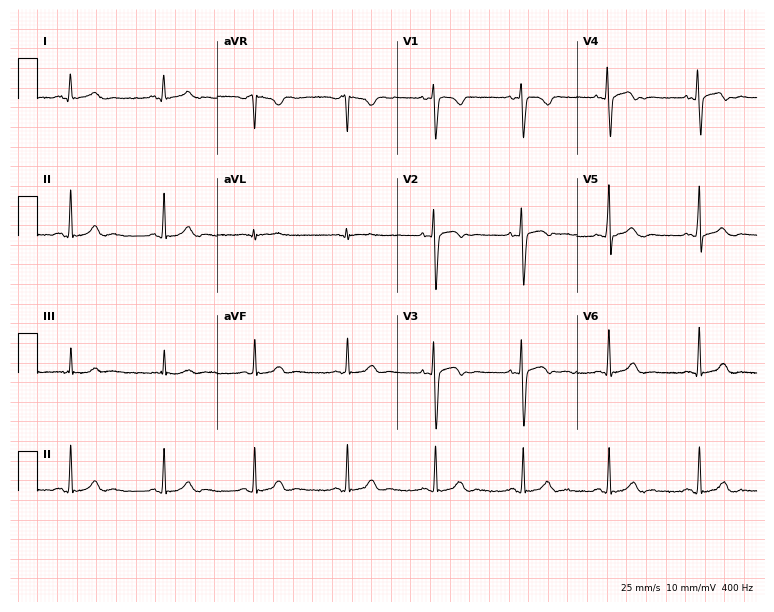
Resting 12-lead electrocardiogram. Patient: a 22-year-old female. None of these six findings is recorded: first-degree AV block, right bundle branch block, left bundle branch block, sinus bradycardia, atrial fibrillation, sinus tachycardia. Other findings, if any, are not listed.